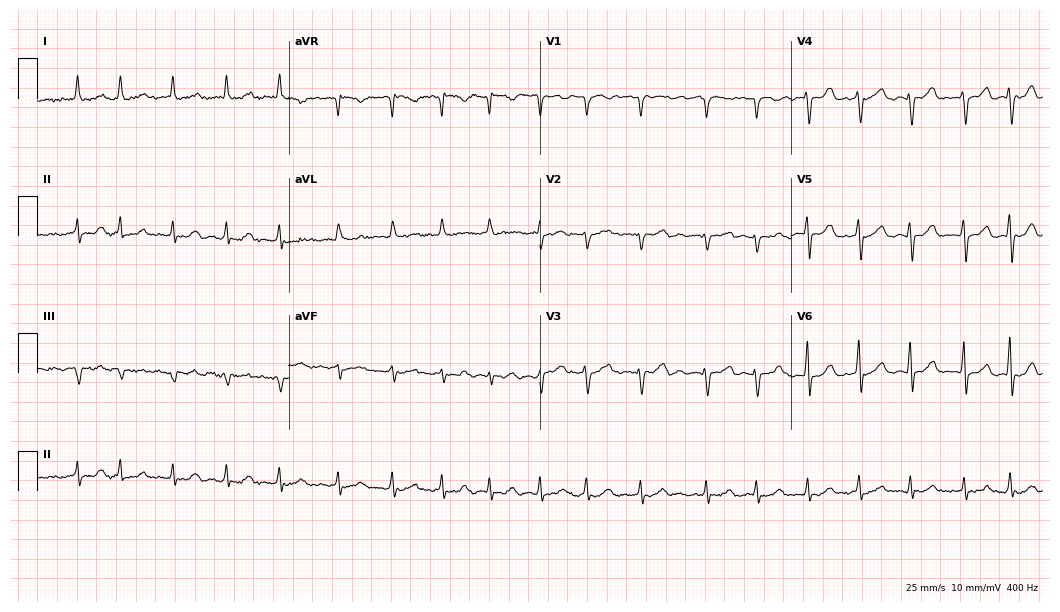
Electrocardiogram, a female patient, 81 years old. Interpretation includes atrial fibrillation (AF).